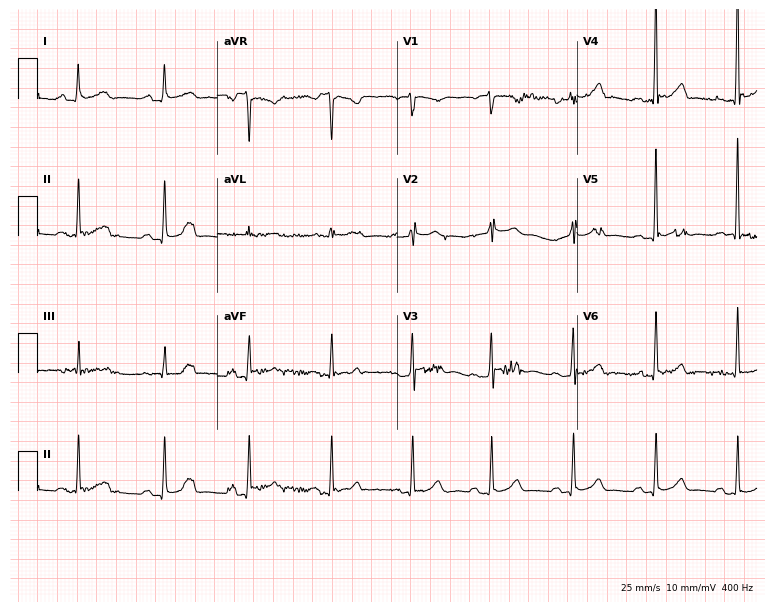
Resting 12-lead electrocardiogram. Patient: a 43-year-old man. Read as a normal ECG.